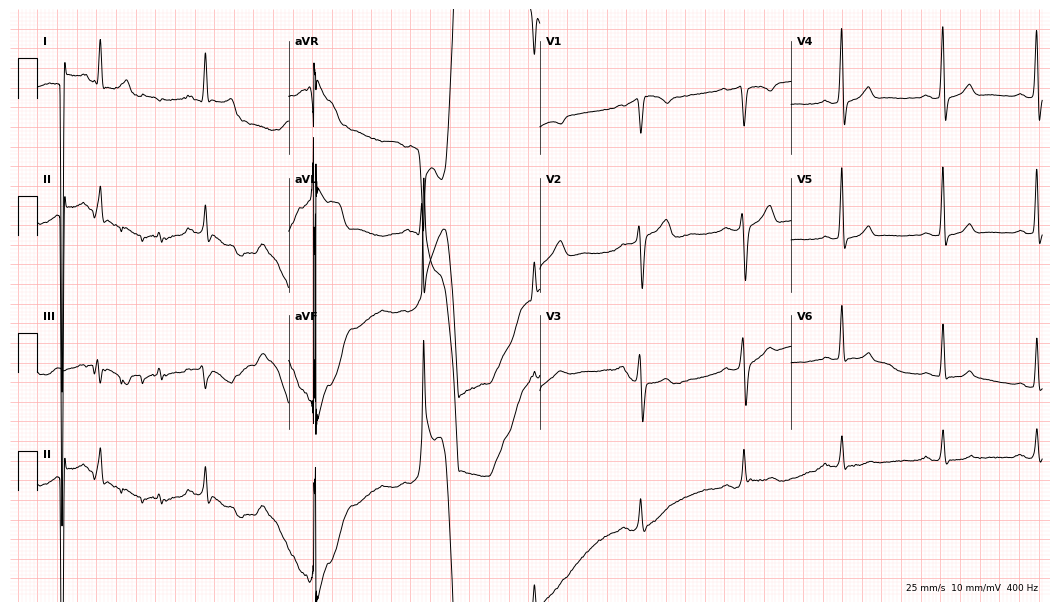
12-lead ECG from a man, 44 years old. Screened for six findings — first-degree AV block, right bundle branch block (RBBB), left bundle branch block (LBBB), sinus bradycardia, atrial fibrillation (AF), sinus tachycardia — none is recorded. Other findings, if any, are not listed.